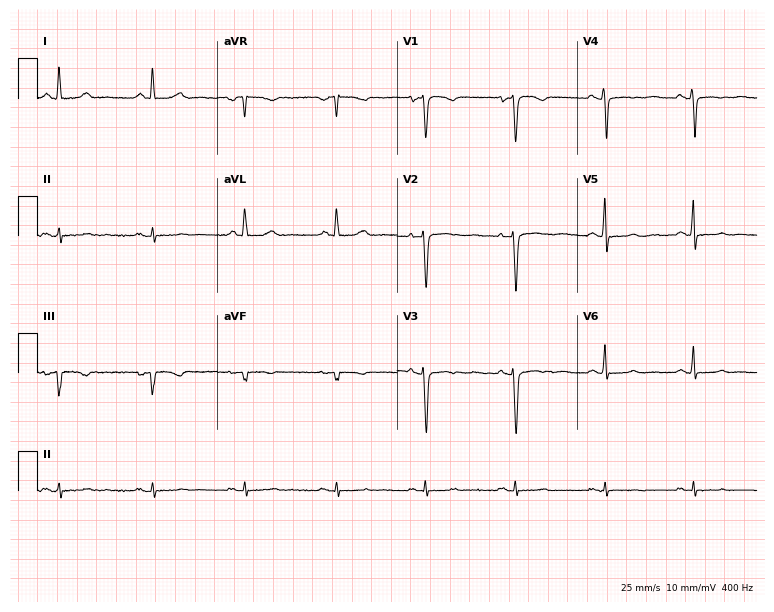
ECG (7.3-second recording at 400 Hz) — a 64-year-old female patient. Screened for six findings — first-degree AV block, right bundle branch block (RBBB), left bundle branch block (LBBB), sinus bradycardia, atrial fibrillation (AF), sinus tachycardia — none is recorded.